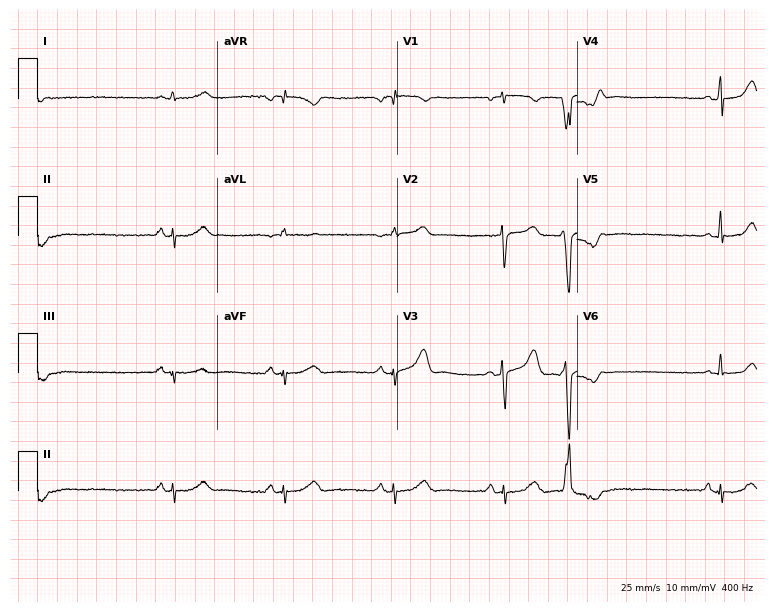
Resting 12-lead electrocardiogram. Patient: a 63-year-old female. None of these six findings is recorded: first-degree AV block, right bundle branch block, left bundle branch block, sinus bradycardia, atrial fibrillation, sinus tachycardia.